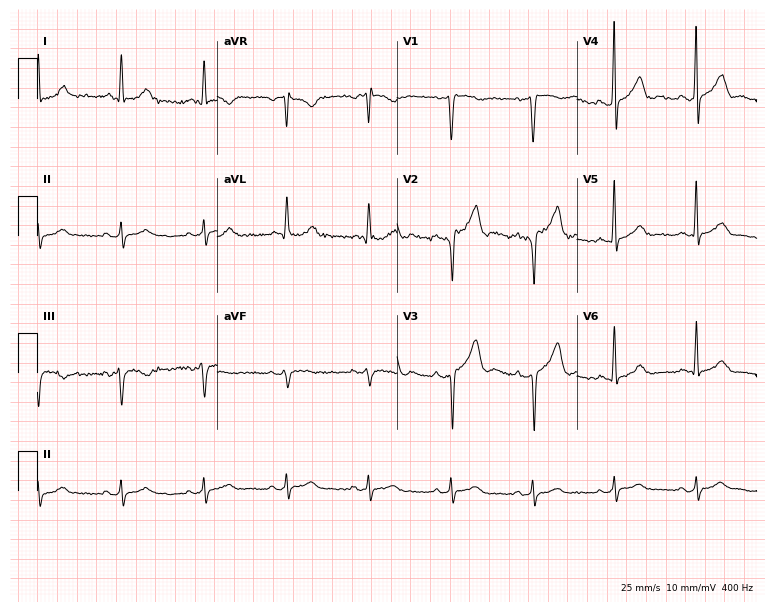
12-lead ECG (7.3-second recording at 400 Hz) from a 74-year-old male. Screened for six findings — first-degree AV block, right bundle branch block, left bundle branch block, sinus bradycardia, atrial fibrillation, sinus tachycardia — none is recorded. Other findings, if any, are not listed.